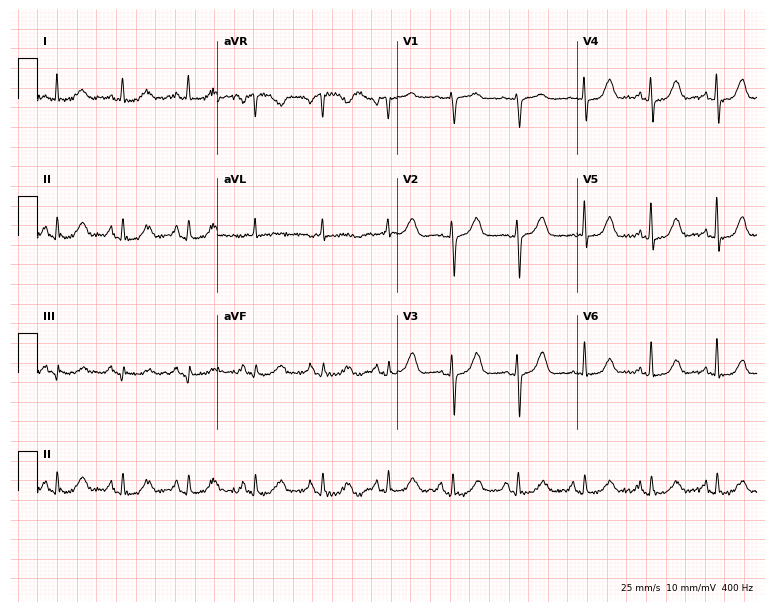
12-lead ECG (7.3-second recording at 400 Hz) from a 70-year-old woman. Labelled as a normal ECG.